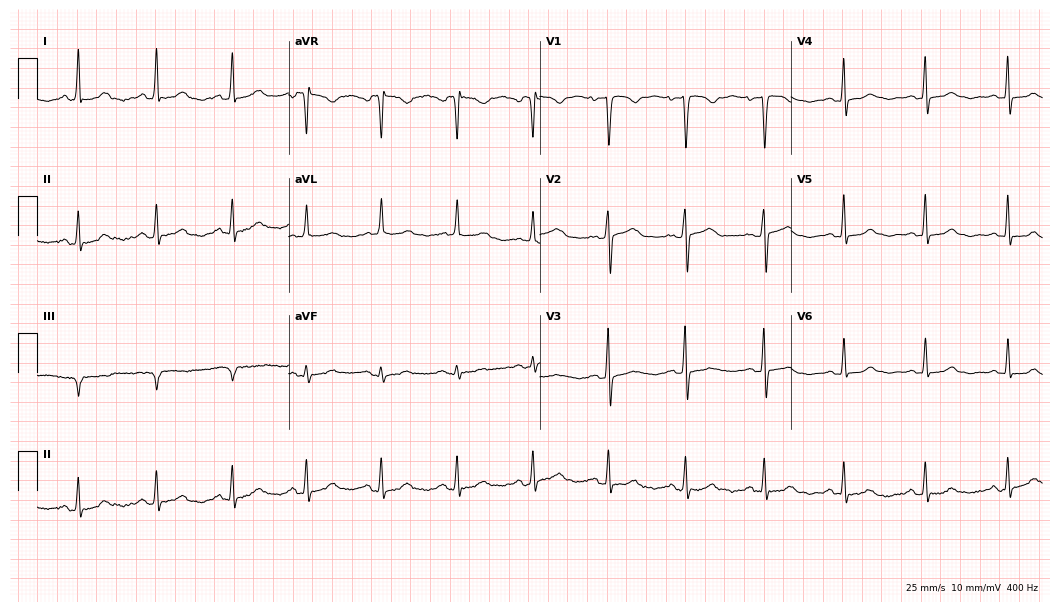
Resting 12-lead electrocardiogram. Patient: a 51-year-old female. Read as a normal ECG.